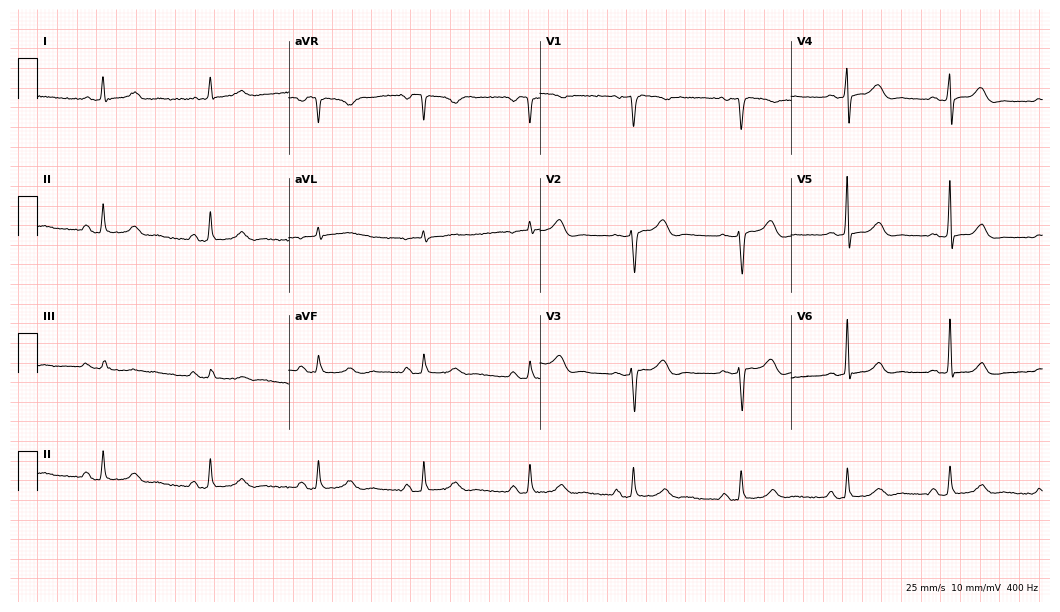
12-lead ECG from a female, 49 years old. No first-degree AV block, right bundle branch block (RBBB), left bundle branch block (LBBB), sinus bradycardia, atrial fibrillation (AF) or sinus tachycardia recorded for this tracing. Other findings, if any, are not listed.